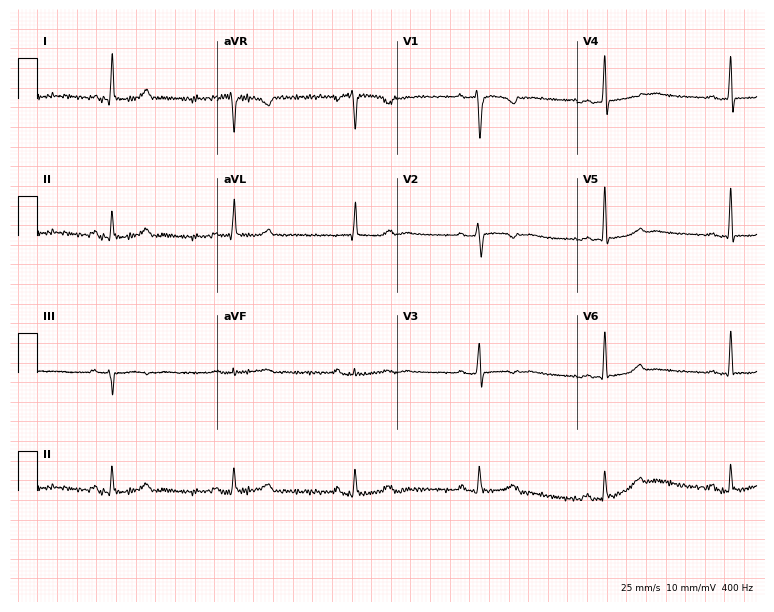
ECG (7.3-second recording at 400 Hz) — a female, 25 years old. Screened for six findings — first-degree AV block, right bundle branch block (RBBB), left bundle branch block (LBBB), sinus bradycardia, atrial fibrillation (AF), sinus tachycardia — none is recorded. Other findings, if any, are not listed.